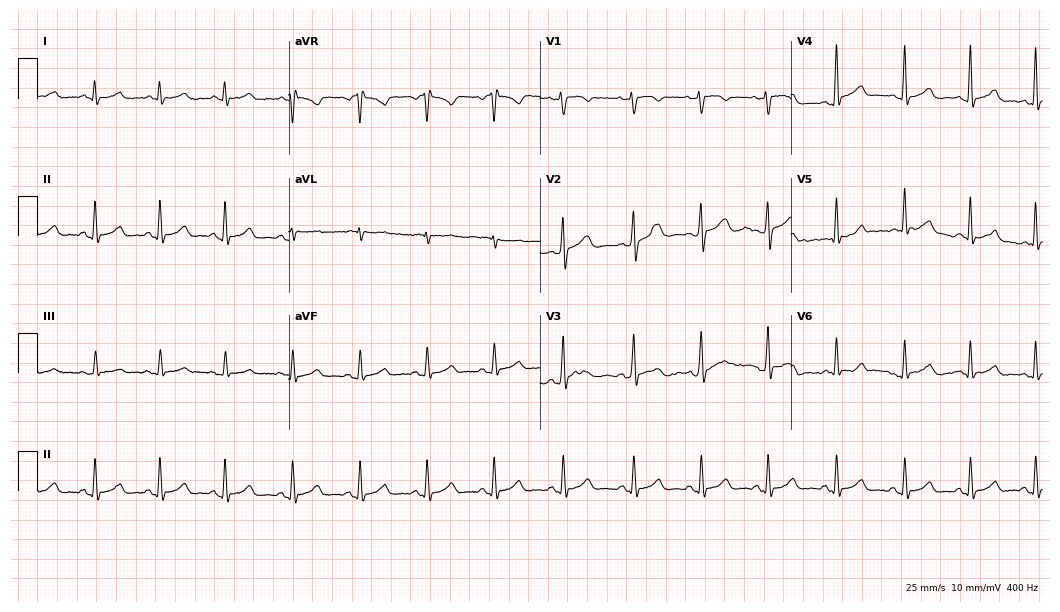
12-lead ECG from a female, 35 years old (10.2-second recording at 400 Hz). Recorded interpretation: within normal limits.